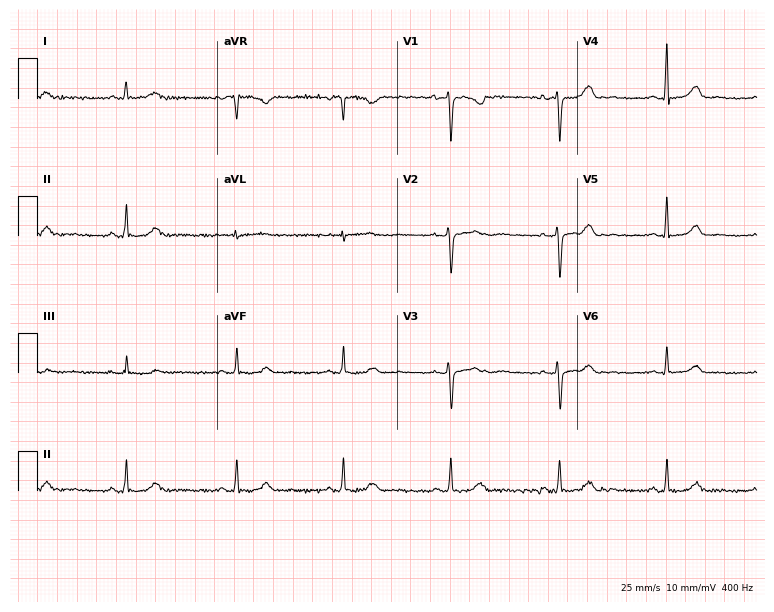
Standard 12-lead ECG recorded from a female, 41 years old. Read as a normal ECG.